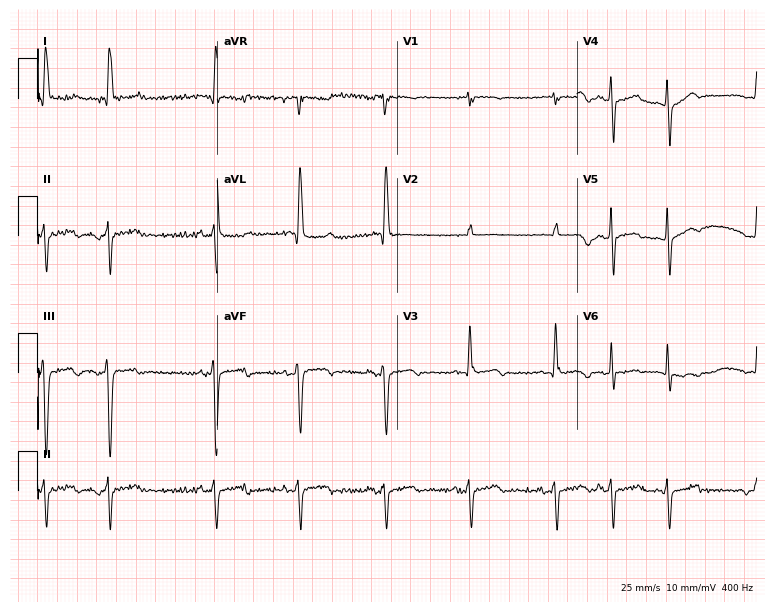
Electrocardiogram, a 78-year-old female. Of the six screened findings (first-degree AV block, right bundle branch block, left bundle branch block, sinus bradycardia, atrial fibrillation, sinus tachycardia), none is recorded. Other findings, if any, are not listed.